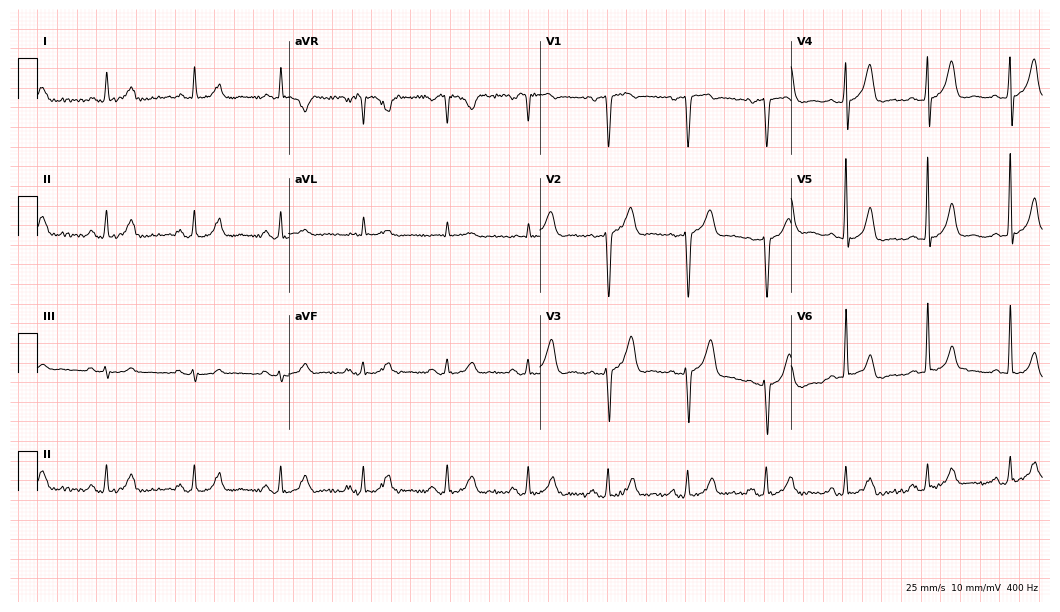
Electrocardiogram, a man, 62 years old. Overall reading on record: normal ECG.